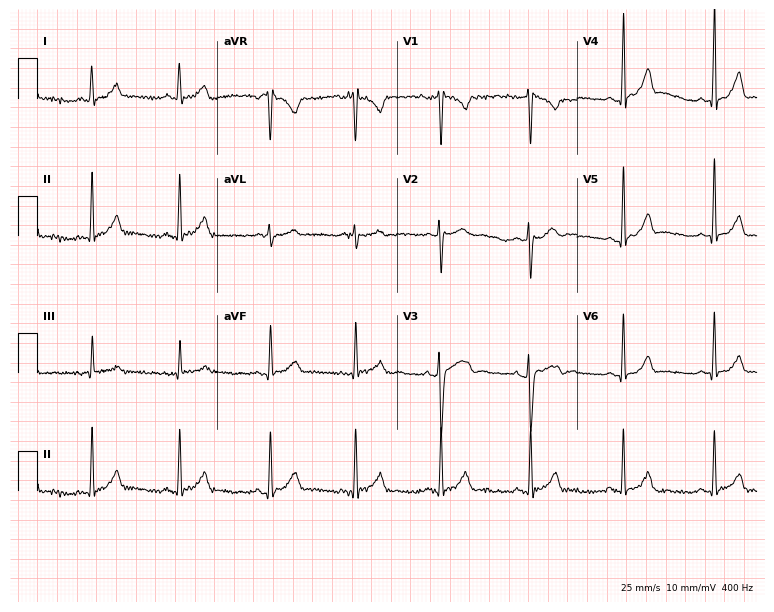
Resting 12-lead electrocardiogram (7.3-second recording at 400 Hz). Patient: a woman, 28 years old. Read as a normal ECG.